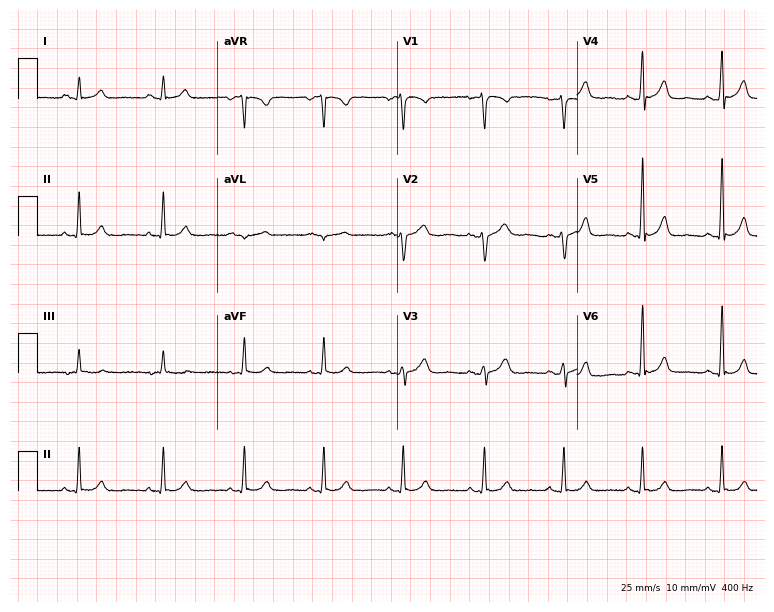
ECG (7.3-second recording at 400 Hz) — a 49-year-old woman. Screened for six findings — first-degree AV block, right bundle branch block, left bundle branch block, sinus bradycardia, atrial fibrillation, sinus tachycardia — none is recorded. Only these six findings were labelled.